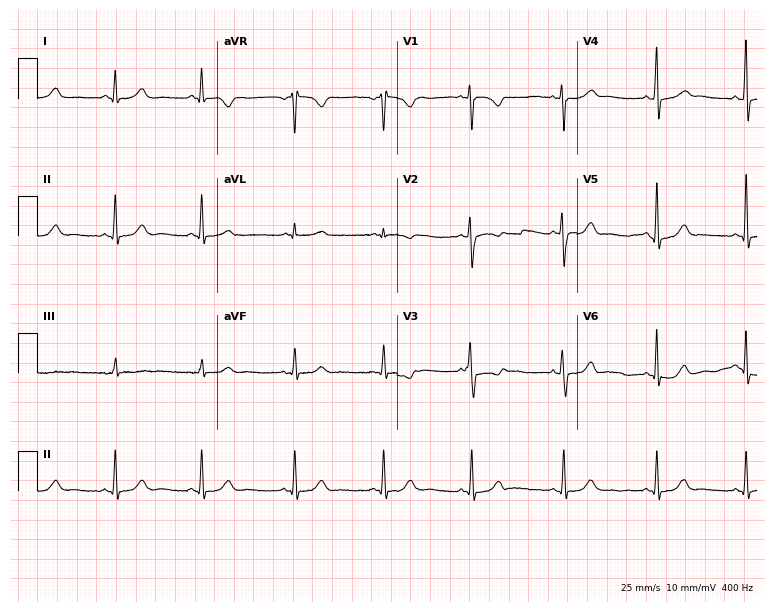
Electrocardiogram (7.3-second recording at 400 Hz), a woman, 32 years old. Overall reading on record: normal ECG.